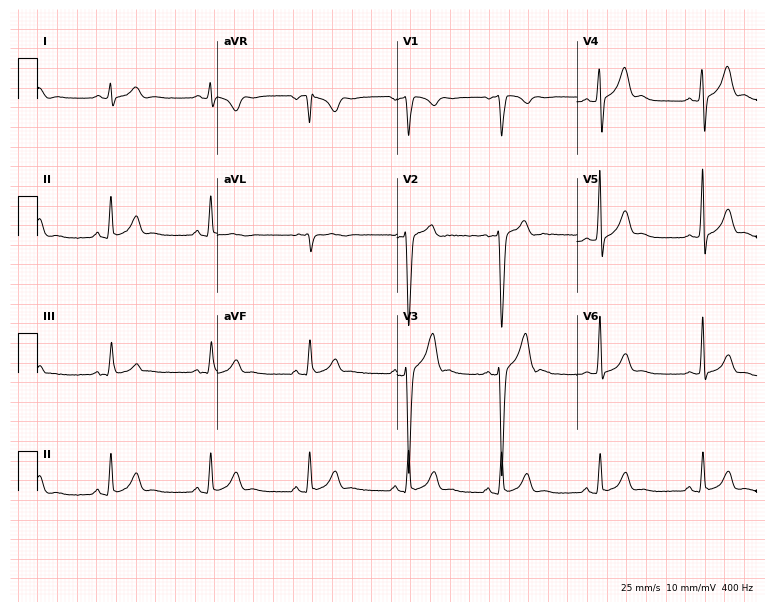
ECG (7.3-second recording at 400 Hz) — a 17-year-old male. Screened for six findings — first-degree AV block, right bundle branch block (RBBB), left bundle branch block (LBBB), sinus bradycardia, atrial fibrillation (AF), sinus tachycardia — none is recorded. Findings outside these six are not listed.